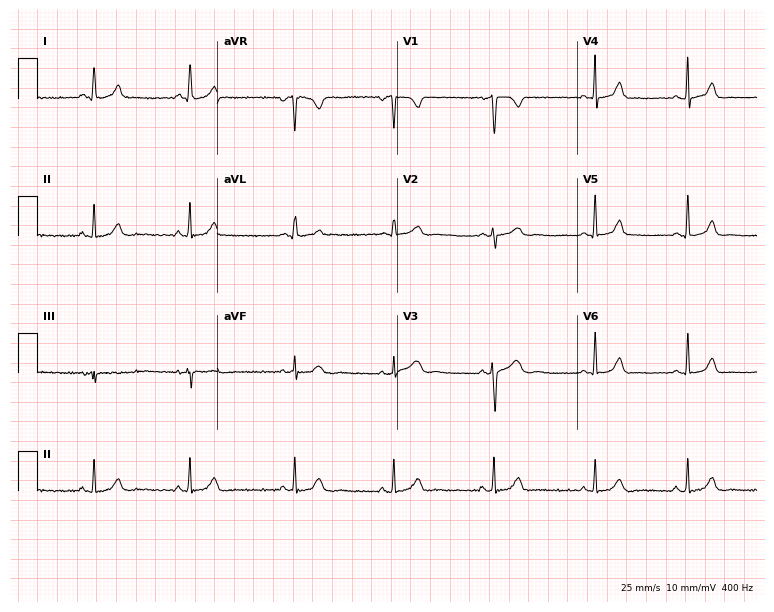
Electrocardiogram (7.3-second recording at 400 Hz), a 23-year-old woman. Overall reading on record: normal ECG.